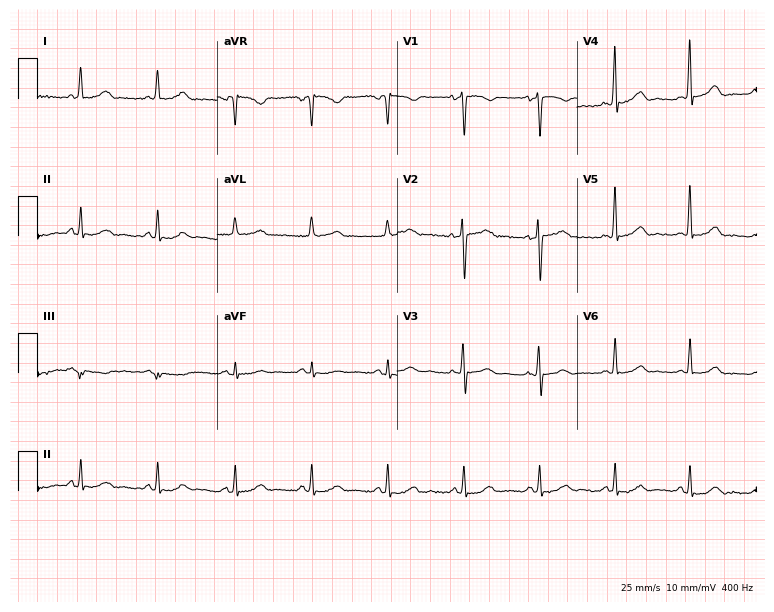
12-lead ECG (7.3-second recording at 400 Hz) from a female, 65 years old. Screened for six findings — first-degree AV block, right bundle branch block, left bundle branch block, sinus bradycardia, atrial fibrillation, sinus tachycardia — none is recorded. Other findings, if any, are not listed.